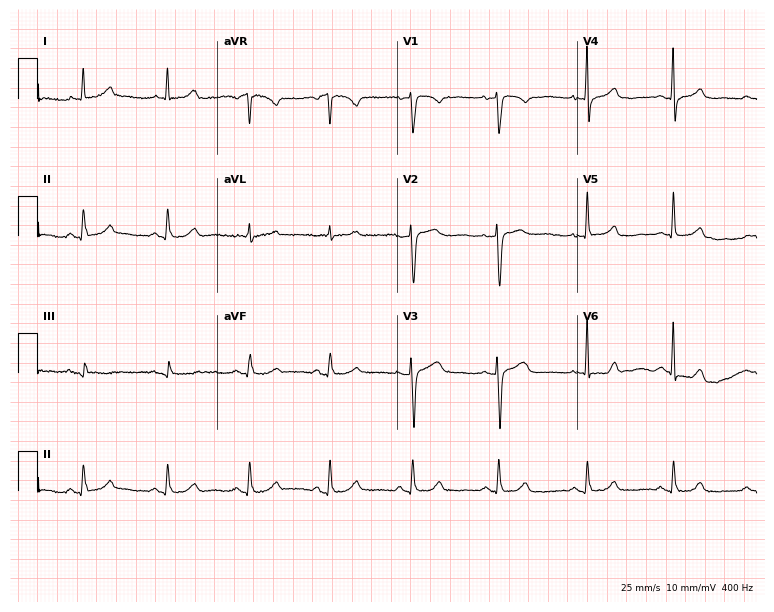
Standard 12-lead ECG recorded from a 61-year-old female patient (7.3-second recording at 400 Hz). Read as a normal ECG.